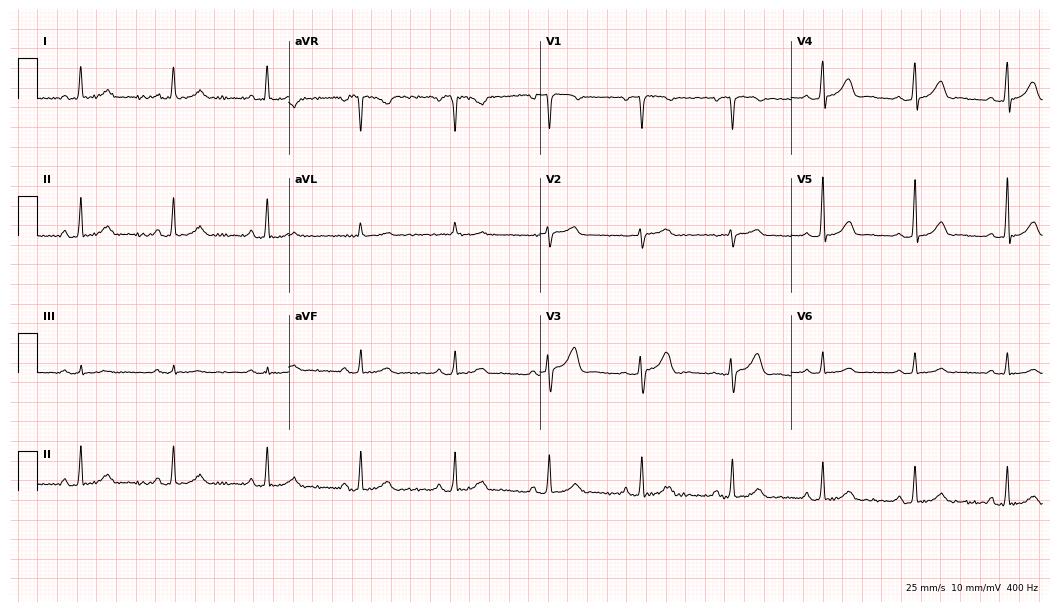
12-lead ECG from a 40-year-old female patient. Labelled as a normal ECG.